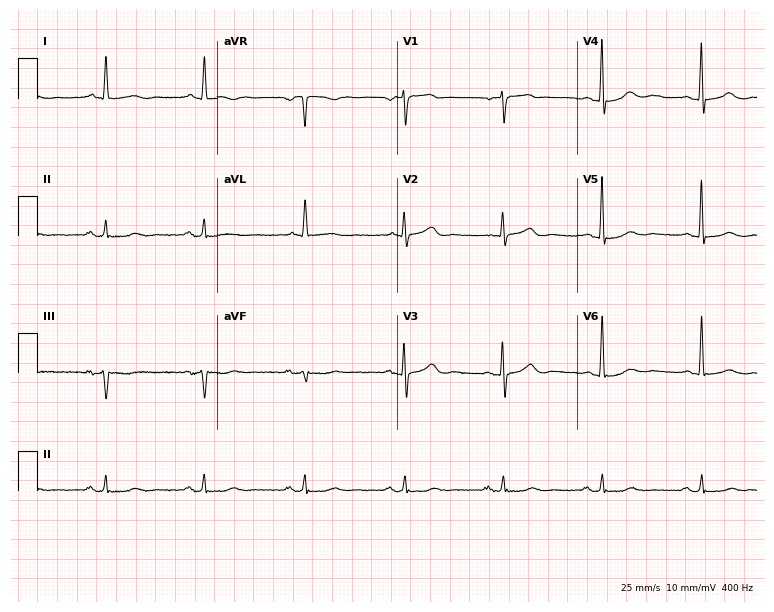
ECG — a female, 80 years old. Screened for six findings — first-degree AV block, right bundle branch block (RBBB), left bundle branch block (LBBB), sinus bradycardia, atrial fibrillation (AF), sinus tachycardia — none is recorded. Only these six findings were labelled.